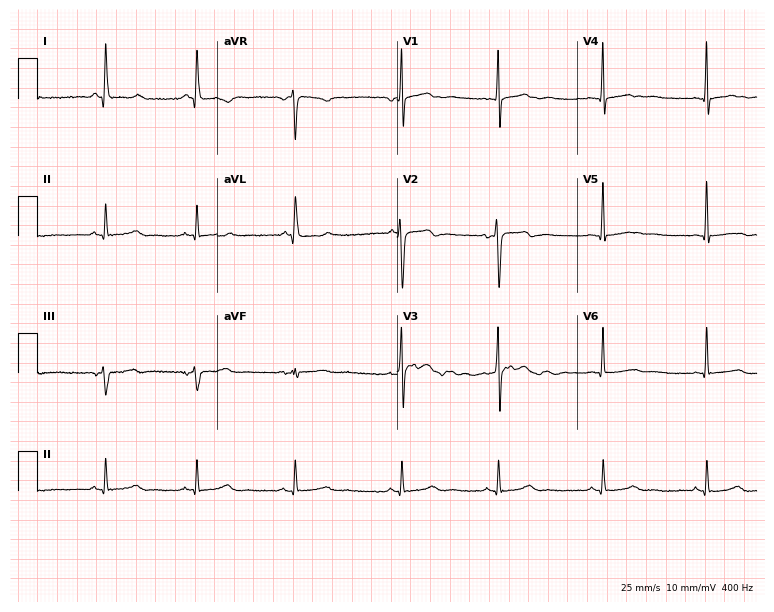
12-lead ECG from a 40-year-old female. No first-degree AV block, right bundle branch block (RBBB), left bundle branch block (LBBB), sinus bradycardia, atrial fibrillation (AF) or sinus tachycardia recorded for this tracing. Findings outside these six are not listed.